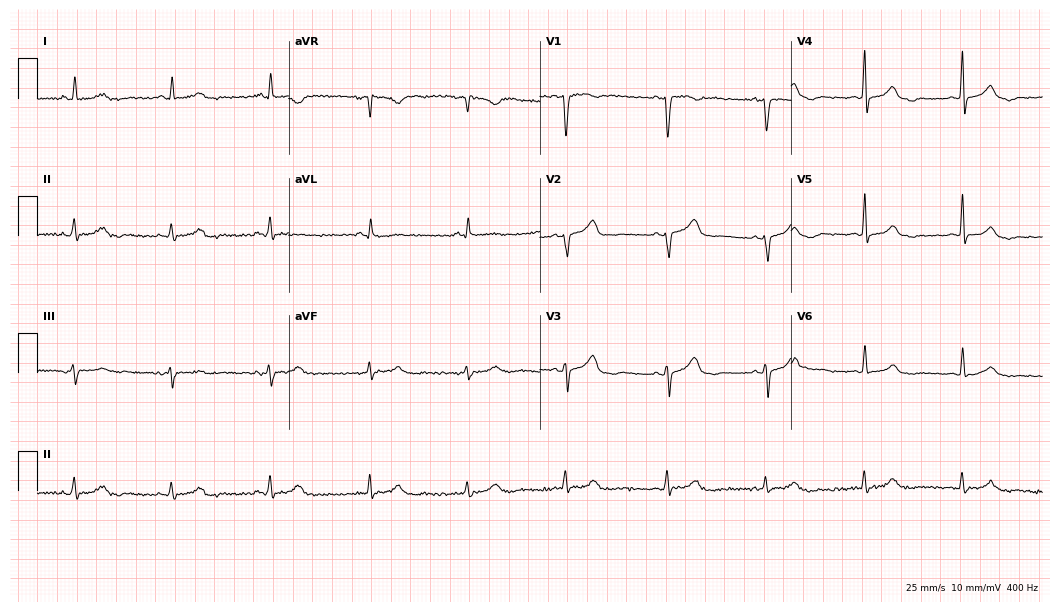
12-lead ECG from a 51-year-old female patient (10.2-second recording at 400 Hz). No first-degree AV block, right bundle branch block, left bundle branch block, sinus bradycardia, atrial fibrillation or sinus tachycardia recorded for this tracing.